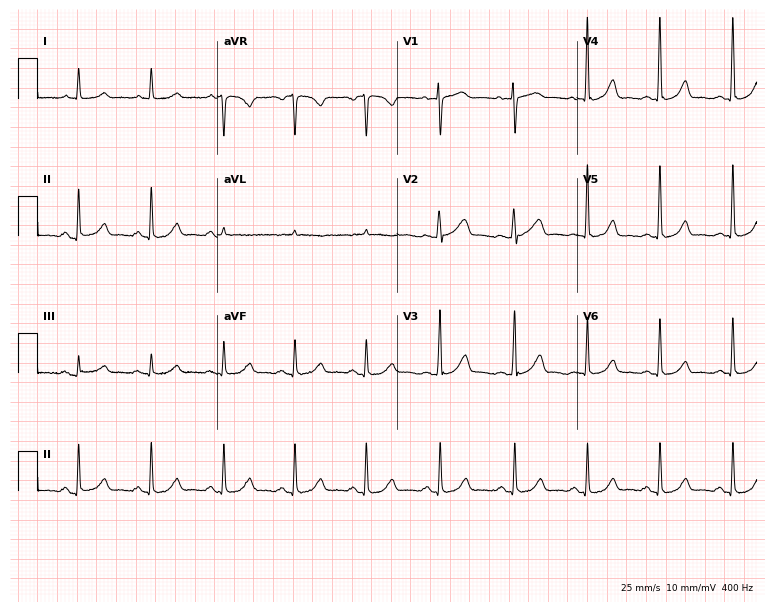
12-lead ECG from a woman, 60 years old. Labelled as a normal ECG.